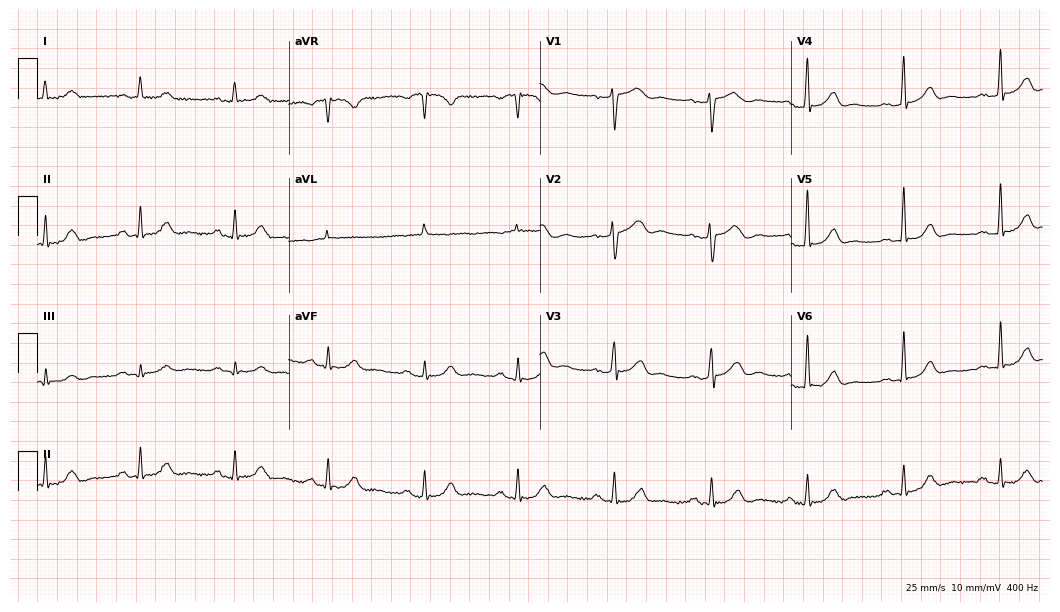
Resting 12-lead electrocardiogram. Patient: a man, 73 years old. Read as a normal ECG.